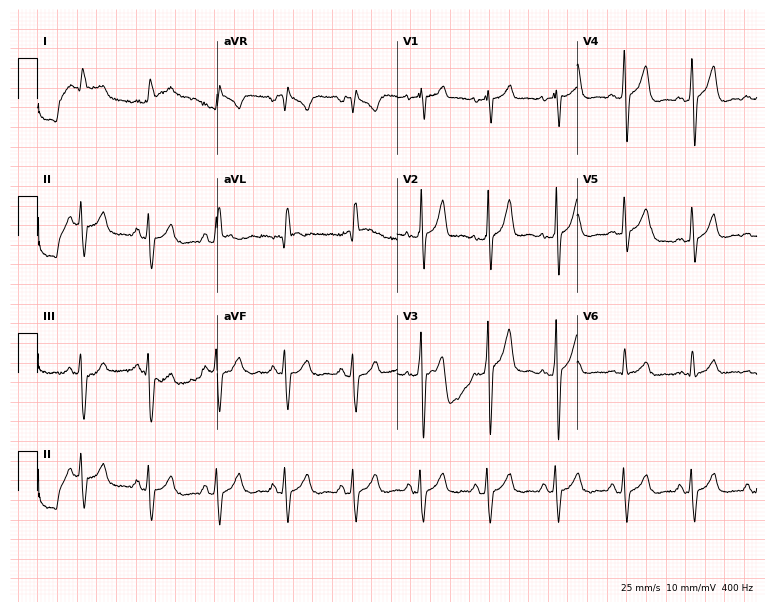
Standard 12-lead ECG recorded from a male patient, 84 years old. None of these six findings is recorded: first-degree AV block, right bundle branch block (RBBB), left bundle branch block (LBBB), sinus bradycardia, atrial fibrillation (AF), sinus tachycardia.